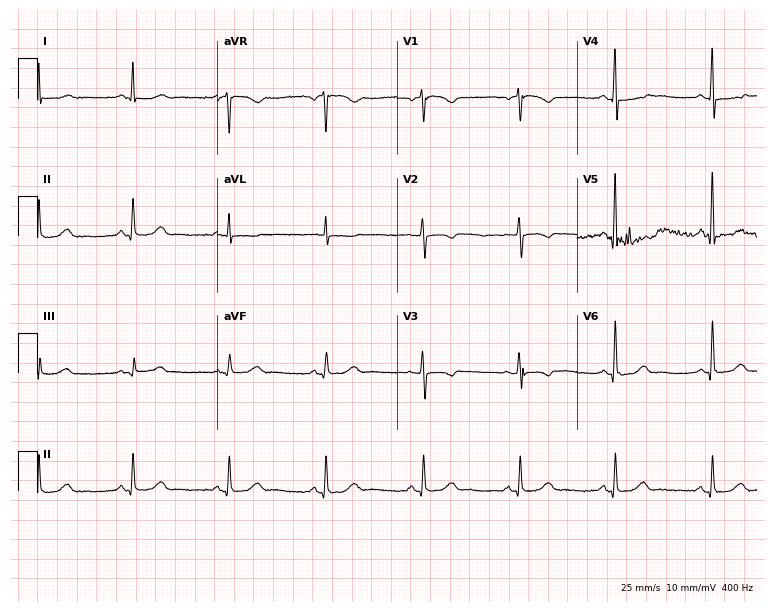
12-lead ECG from a female, 60 years old (7.3-second recording at 400 Hz). No first-degree AV block, right bundle branch block (RBBB), left bundle branch block (LBBB), sinus bradycardia, atrial fibrillation (AF) or sinus tachycardia recorded for this tracing.